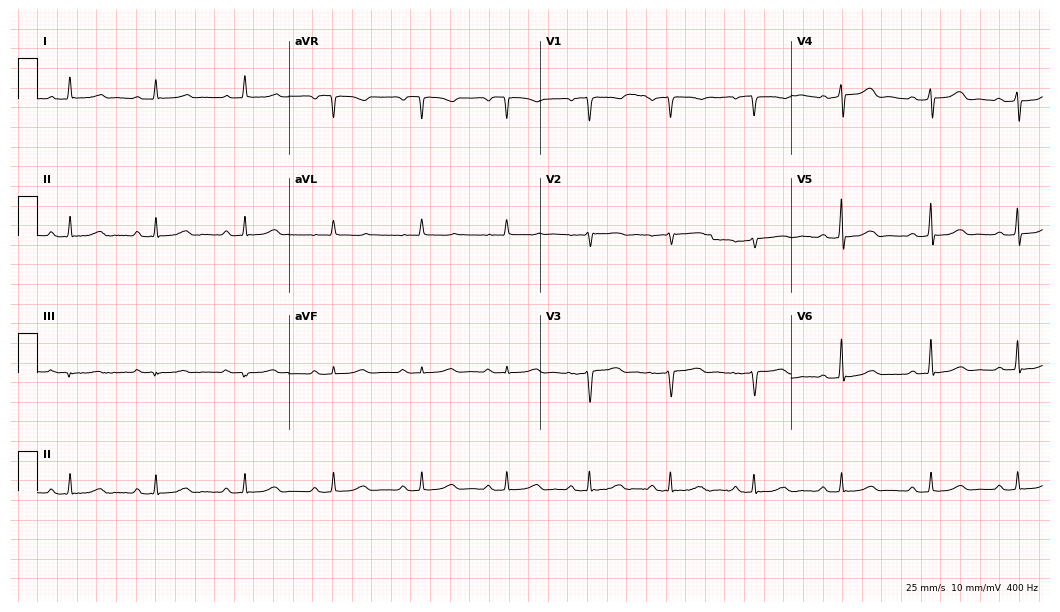
12-lead ECG (10.2-second recording at 400 Hz) from a 45-year-old female patient. Labelled as a normal ECG.